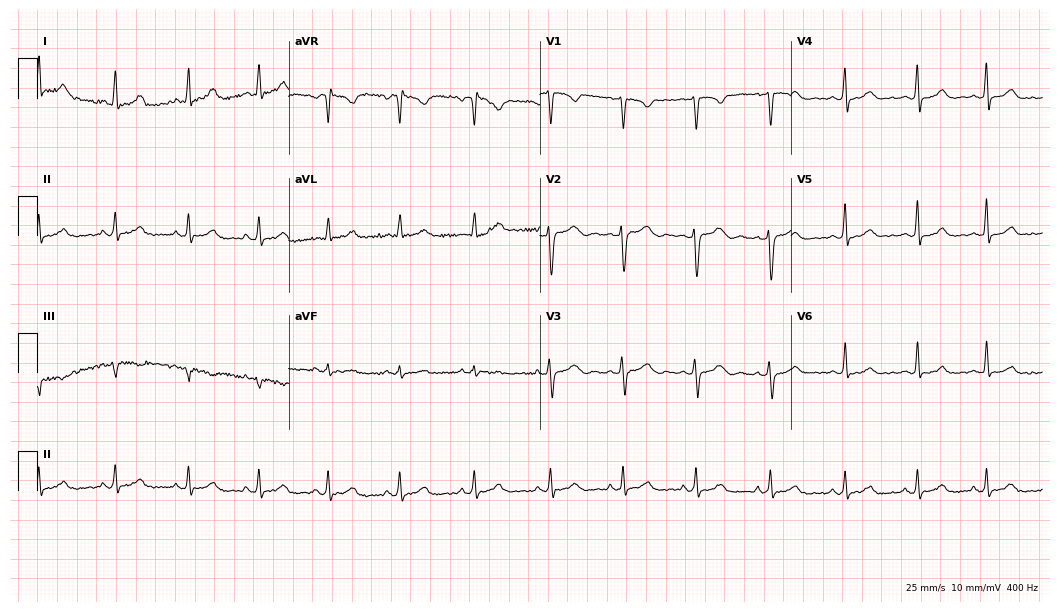
ECG — a female, 29 years old. Screened for six findings — first-degree AV block, right bundle branch block, left bundle branch block, sinus bradycardia, atrial fibrillation, sinus tachycardia — none is recorded. Other findings, if any, are not listed.